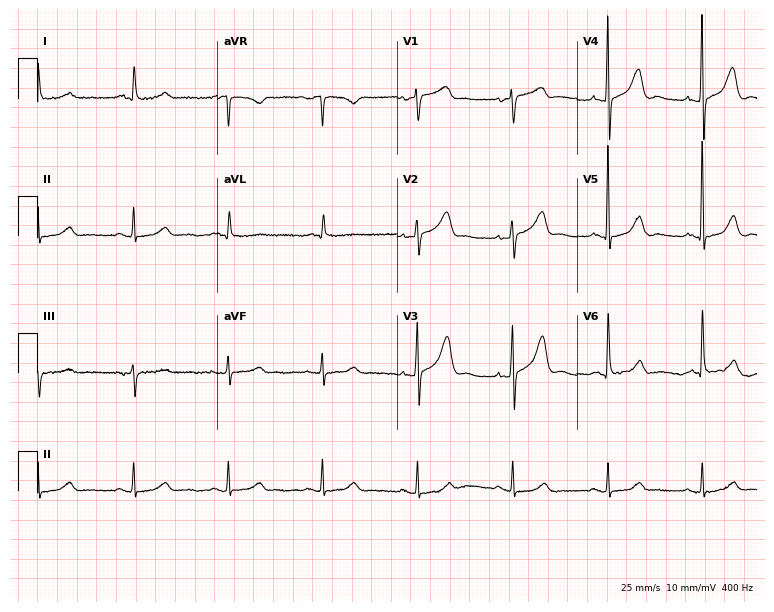
Electrocardiogram (7.3-second recording at 400 Hz), a female patient, 81 years old. Of the six screened findings (first-degree AV block, right bundle branch block, left bundle branch block, sinus bradycardia, atrial fibrillation, sinus tachycardia), none is recorded. Only these six findings were labelled.